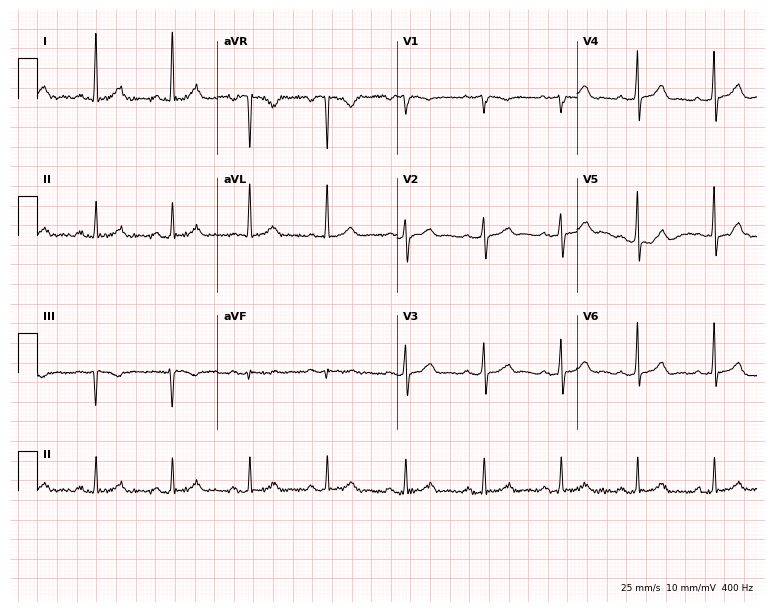
Standard 12-lead ECG recorded from a woman, 50 years old (7.3-second recording at 400 Hz). Read as a normal ECG.